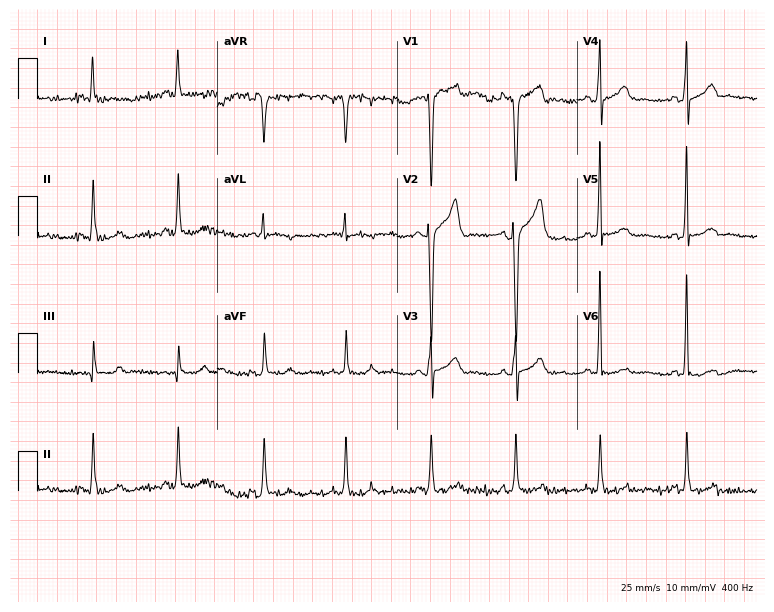
Resting 12-lead electrocardiogram (7.3-second recording at 400 Hz). Patient: a male, 41 years old. Read as a normal ECG.